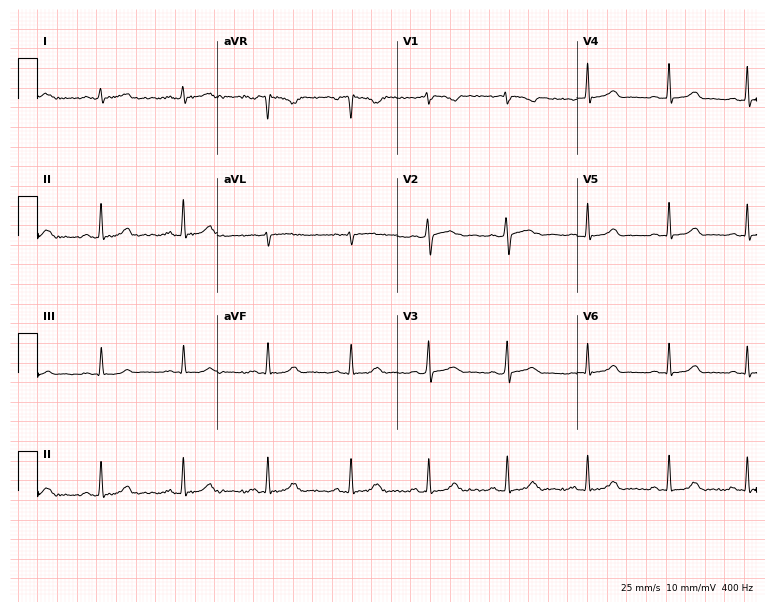
12-lead ECG (7.3-second recording at 400 Hz) from a 28-year-old female patient. Screened for six findings — first-degree AV block, right bundle branch block, left bundle branch block, sinus bradycardia, atrial fibrillation, sinus tachycardia — none is recorded. Findings outside these six are not listed.